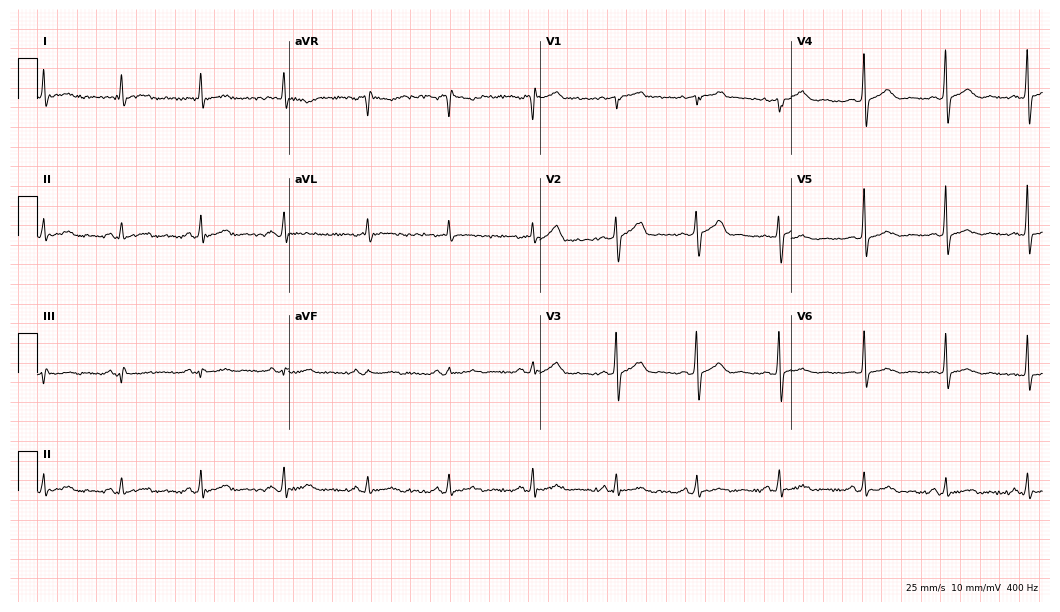
Standard 12-lead ECG recorded from a 65-year-old male patient (10.2-second recording at 400 Hz). None of these six findings is recorded: first-degree AV block, right bundle branch block, left bundle branch block, sinus bradycardia, atrial fibrillation, sinus tachycardia.